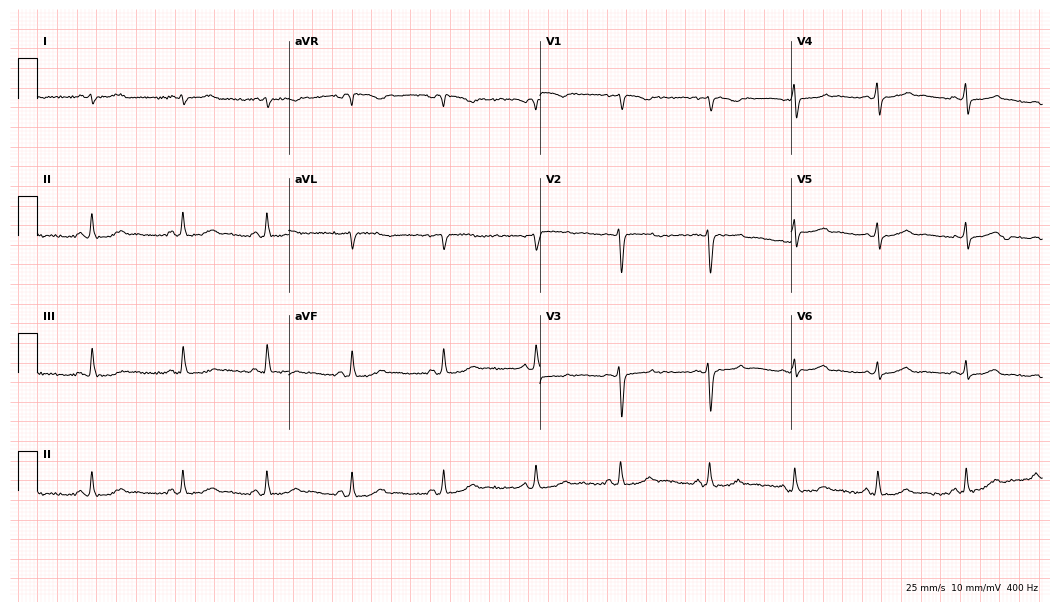
ECG — a female, 25 years old. Screened for six findings — first-degree AV block, right bundle branch block, left bundle branch block, sinus bradycardia, atrial fibrillation, sinus tachycardia — none is recorded.